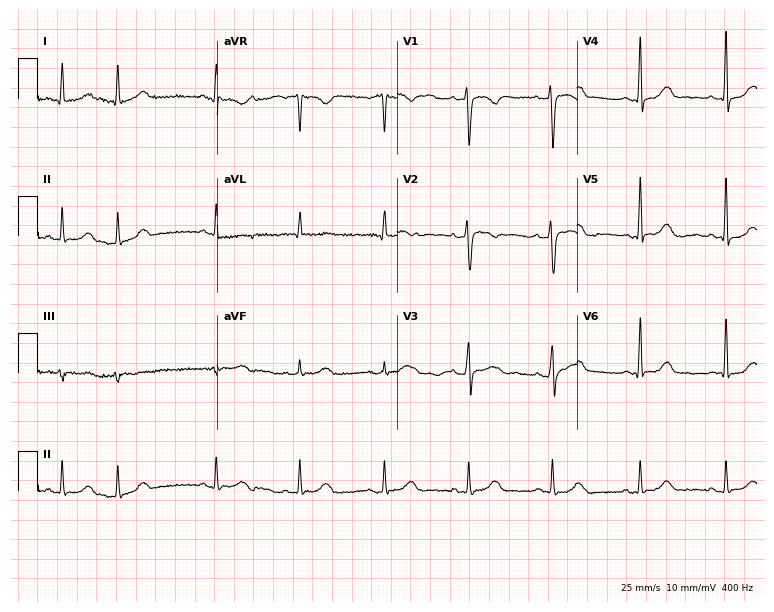
Resting 12-lead electrocardiogram. Patient: a 34-year-old female. Read as a normal ECG.